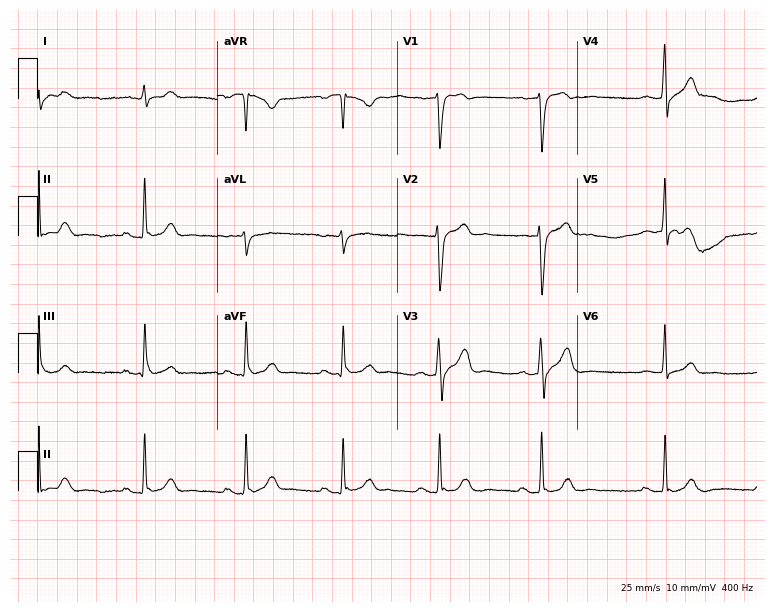
12-lead ECG from a male, 44 years old (7.3-second recording at 400 Hz). No first-degree AV block, right bundle branch block (RBBB), left bundle branch block (LBBB), sinus bradycardia, atrial fibrillation (AF) or sinus tachycardia recorded for this tracing.